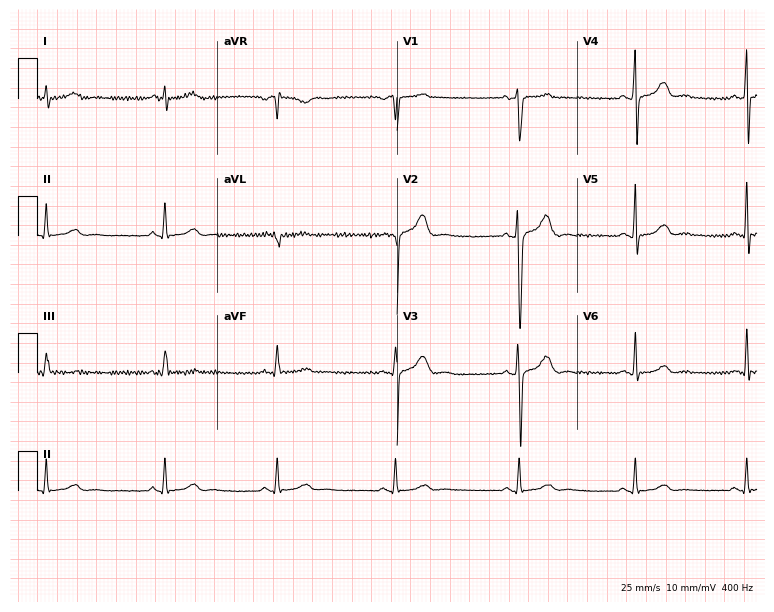
Electrocardiogram, a male, 41 years old. Overall reading on record: normal ECG.